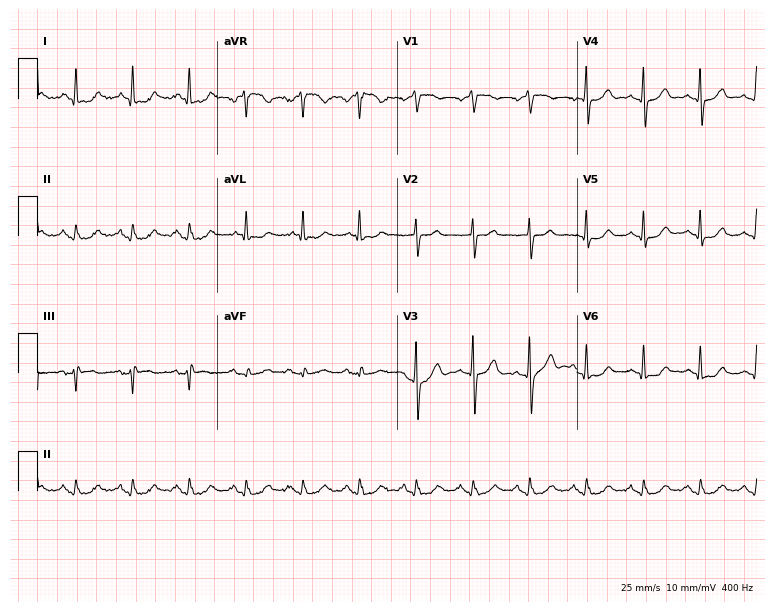
Standard 12-lead ECG recorded from an 82-year-old man. The tracing shows sinus tachycardia (a sinus rate of 100 beats per minute or more).